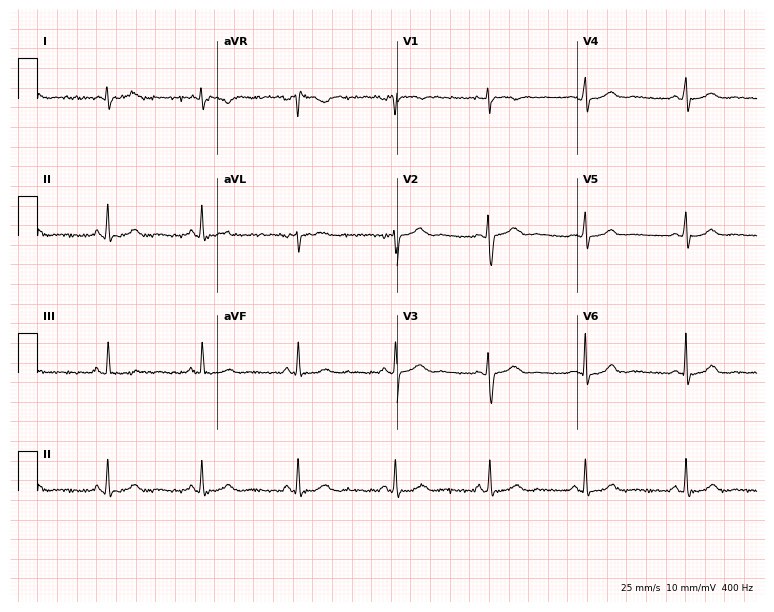
Standard 12-lead ECG recorded from a female, 22 years old (7.3-second recording at 400 Hz). None of these six findings is recorded: first-degree AV block, right bundle branch block, left bundle branch block, sinus bradycardia, atrial fibrillation, sinus tachycardia. Only these six findings were labelled.